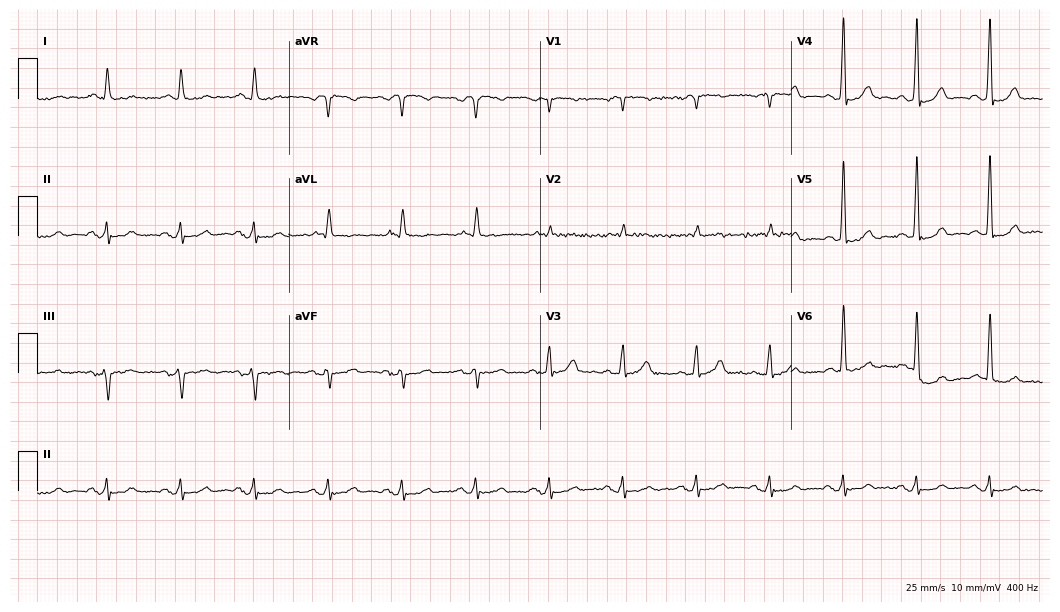
12-lead ECG (10.2-second recording at 400 Hz) from a man, 82 years old. Screened for six findings — first-degree AV block, right bundle branch block, left bundle branch block, sinus bradycardia, atrial fibrillation, sinus tachycardia — none is recorded.